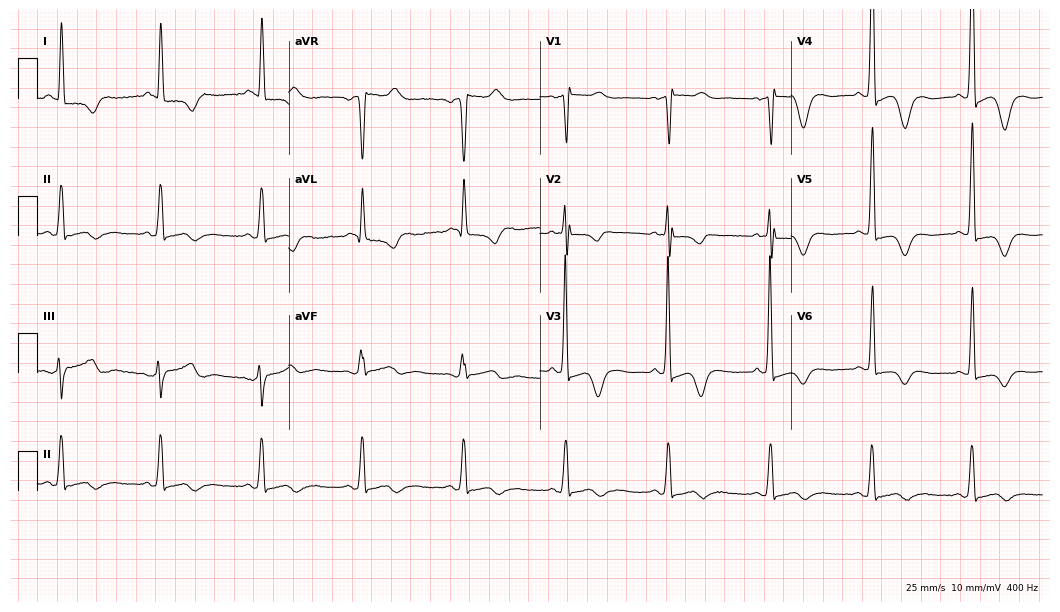
Resting 12-lead electrocardiogram. Patient: a 73-year-old female. None of these six findings is recorded: first-degree AV block, right bundle branch block, left bundle branch block, sinus bradycardia, atrial fibrillation, sinus tachycardia. Other findings, if any, are not listed.